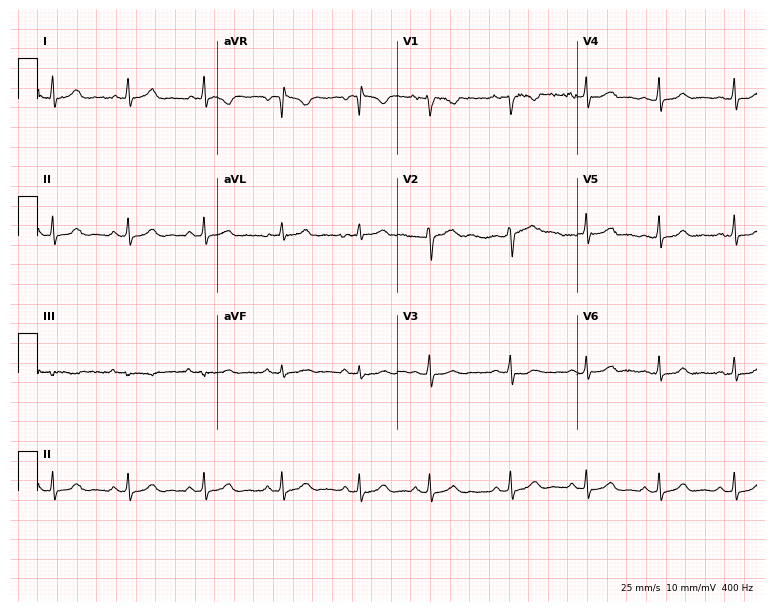
Electrocardiogram (7.3-second recording at 400 Hz), an 18-year-old woman. Overall reading on record: normal ECG.